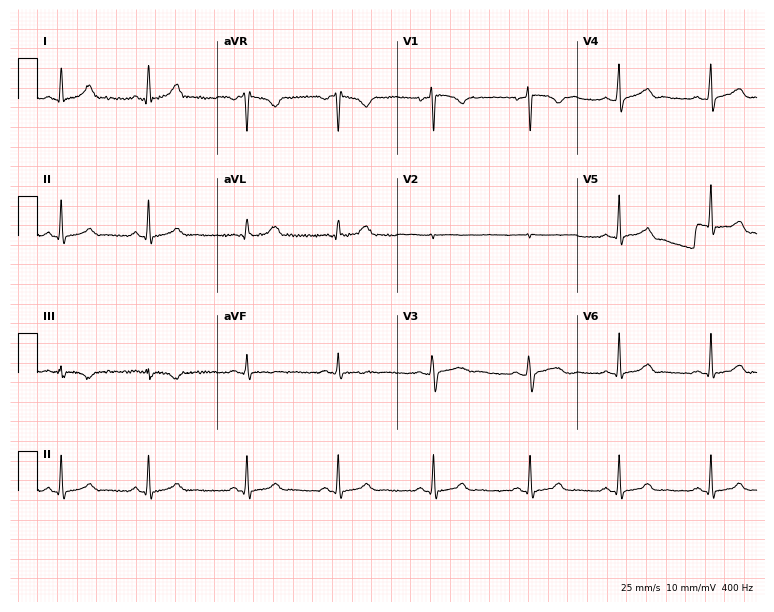
12-lead ECG from a female patient, 26 years old (7.3-second recording at 400 Hz). No first-degree AV block, right bundle branch block, left bundle branch block, sinus bradycardia, atrial fibrillation or sinus tachycardia recorded for this tracing.